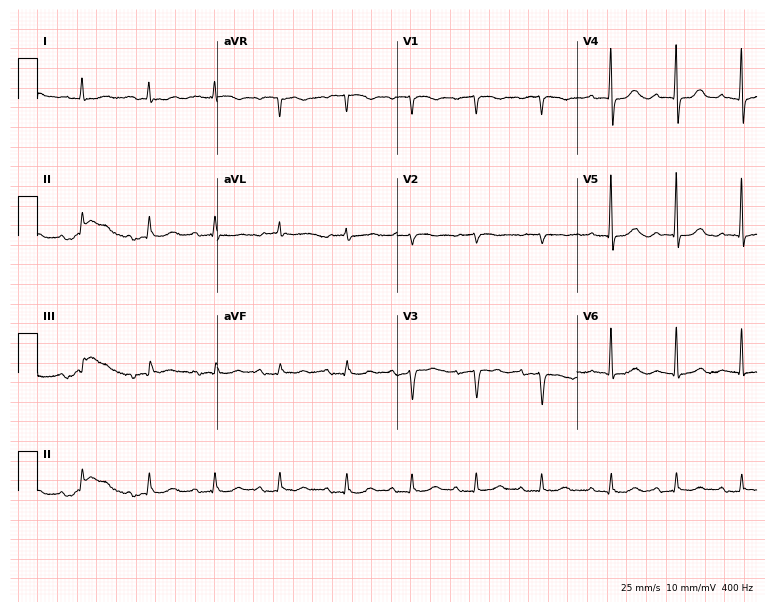
Resting 12-lead electrocardiogram (7.3-second recording at 400 Hz). Patient: a female, 84 years old. None of these six findings is recorded: first-degree AV block, right bundle branch block (RBBB), left bundle branch block (LBBB), sinus bradycardia, atrial fibrillation (AF), sinus tachycardia. Findings outside these six are not listed.